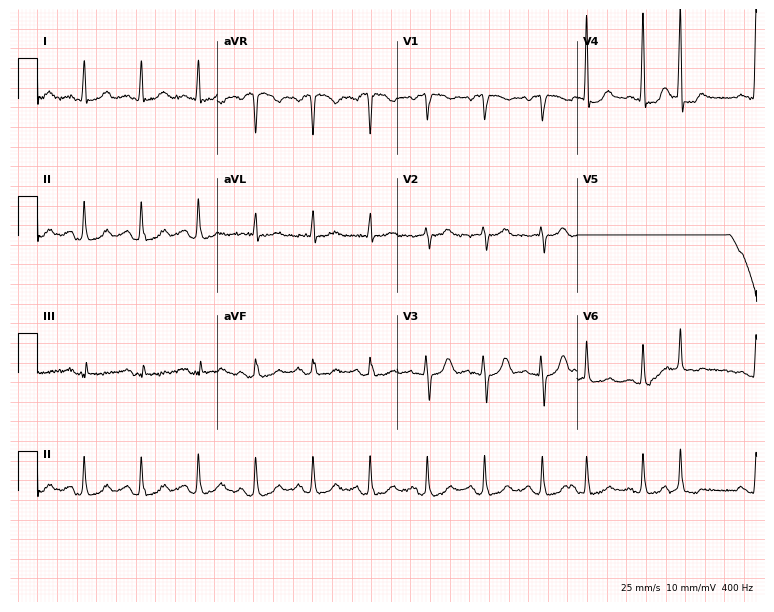
Electrocardiogram (7.3-second recording at 400 Hz), a 79-year-old female. Of the six screened findings (first-degree AV block, right bundle branch block, left bundle branch block, sinus bradycardia, atrial fibrillation, sinus tachycardia), none is recorded. Findings outside these six are not listed.